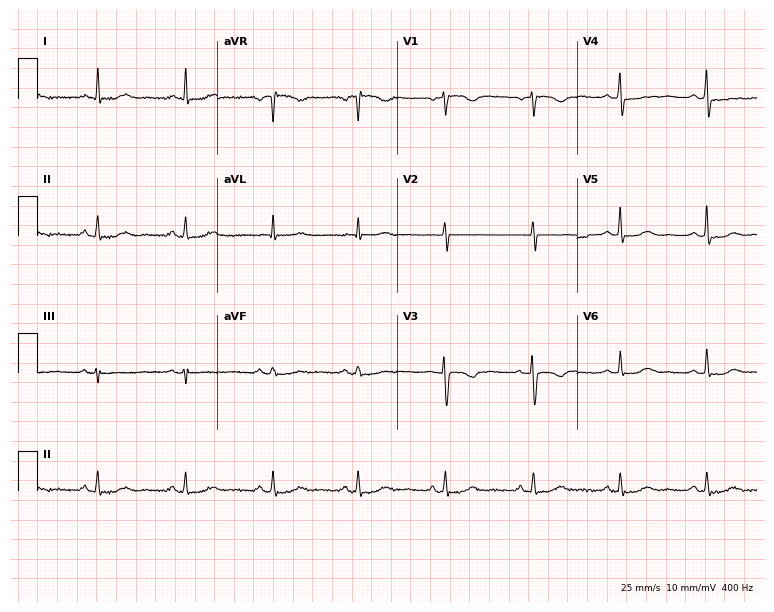
Resting 12-lead electrocardiogram. Patient: a 49-year-old female. None of these six findings is recorded: first-degree AV block, right bundle branch block, left bundle branch block, sinus bradycardia, atrial fibrillation, sinus tachycardia. Other findings, if any, are not listed.